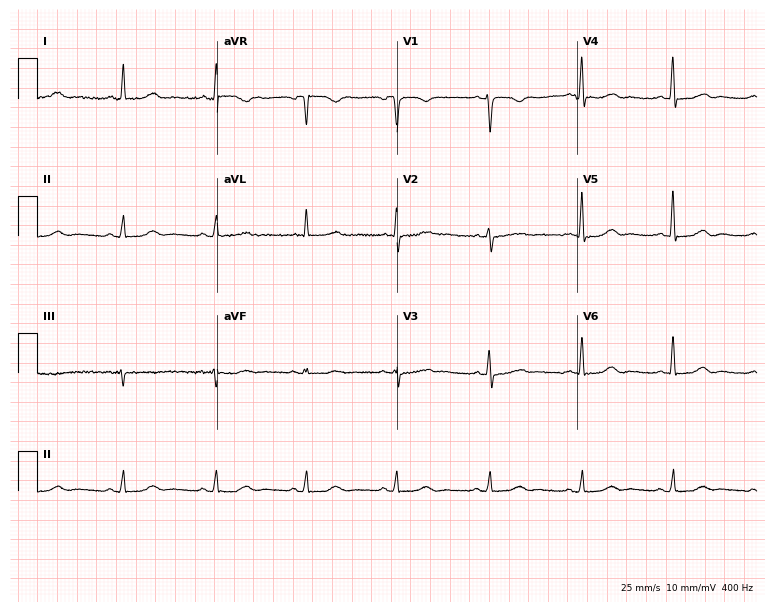
ECG — a 55-year-old female. Screened for six findings — first-degree AV block, right bundle branch block (RBBB), left bundle branch block (LBBB), sinus bradycardia, atrial fibrillation (AF), sinus tachycardia — none is recorded.